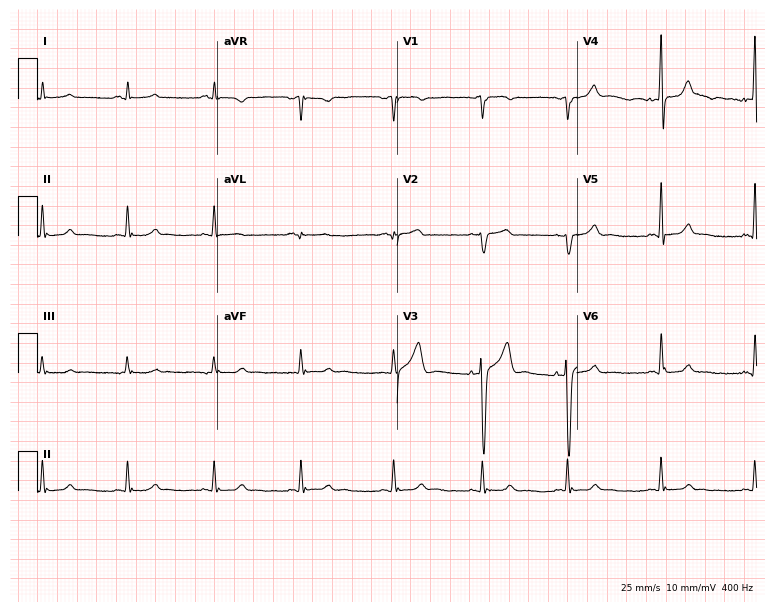
Standard 12-lead ECG recorded from a 50-year-old female. Read as a normal ECG.